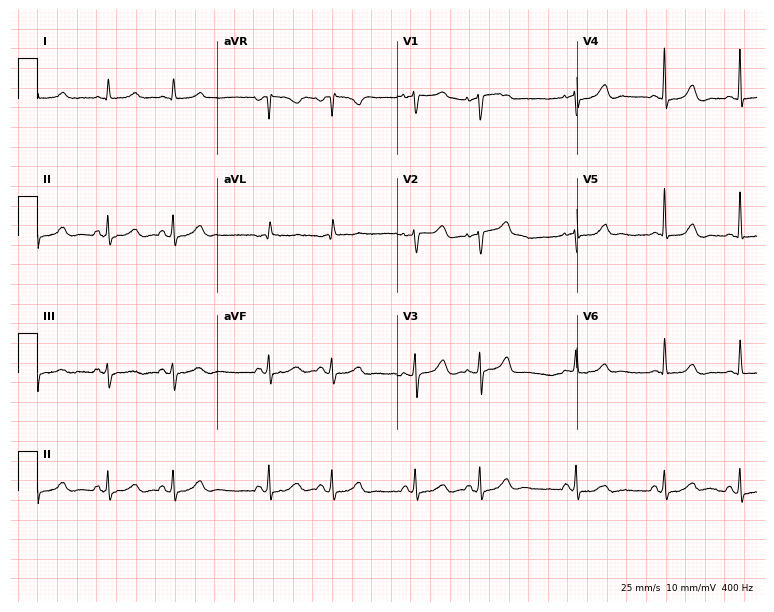
12-lead ECG from a 78-year-old female patient (7.3-second recording at 400 Hz). No first-degree AV block, right bundle branch block, left bundle branch block, sinus bradycardia, atrial fibrillation or sinus tachycardia recorded for this tracing.